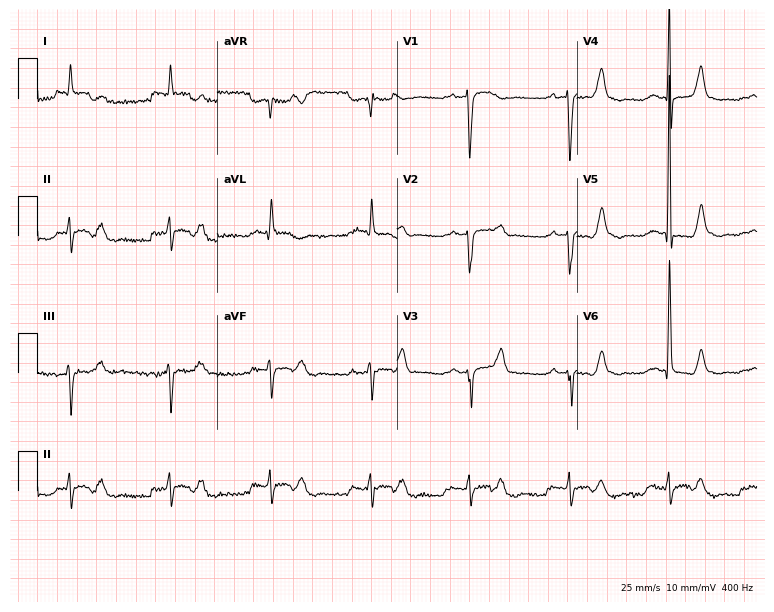
12-lead ECG from a woman, 76 years old (7.3-second recording at 400 Hz). No first-degree AV block, right bundle branch block, left bundle branch block, sinus bradycardia, atrial fibrillation or sinus tachycardia recorded for this tracing.